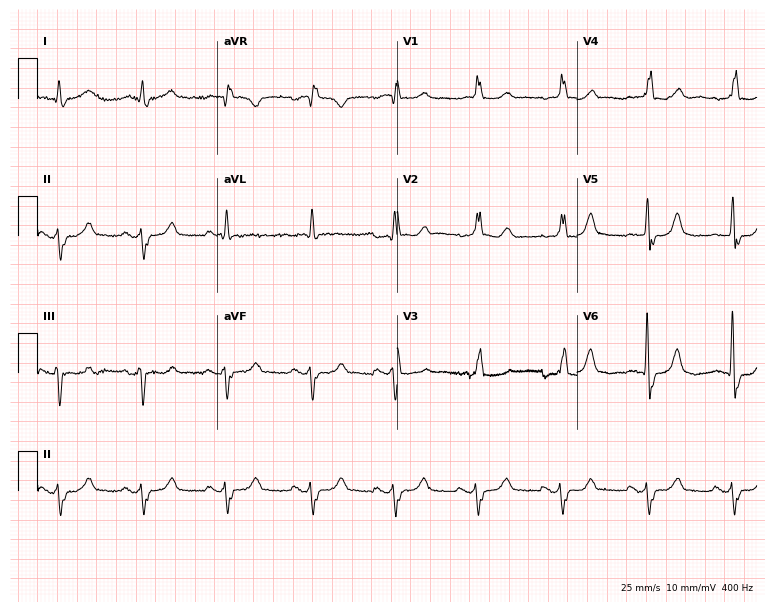
ECG (7.3-second recording at 400 Hz) — a 72-year-old man. Findings include right bundle branch block (RBBB).